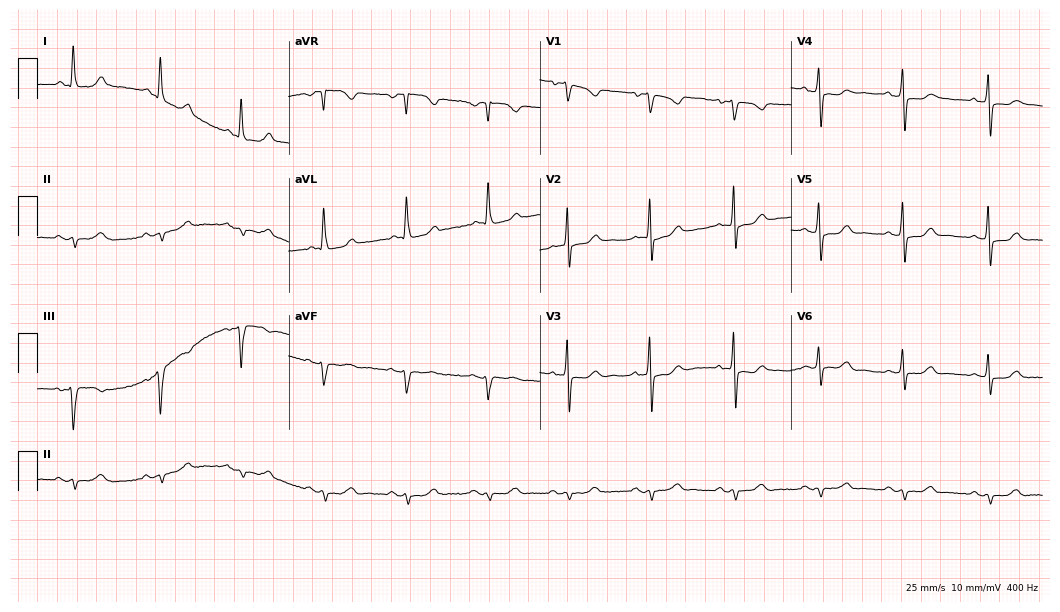
12-lead ECG from a female, 54 years old. Screened for six findings — first-degree AV block, right bundle branch block, left bundle branch block, sinus bradycardia, atrial fibrillation, sinus tachycardia — none is recorded. Only these six findings were labelled.